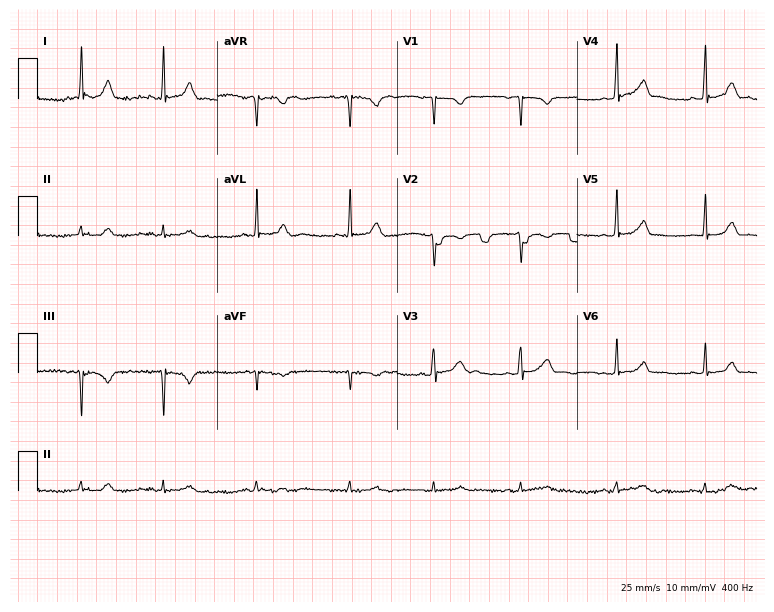
Electrocardiogram, a 19-year-old woman. Overall reading on record: normal ECG.